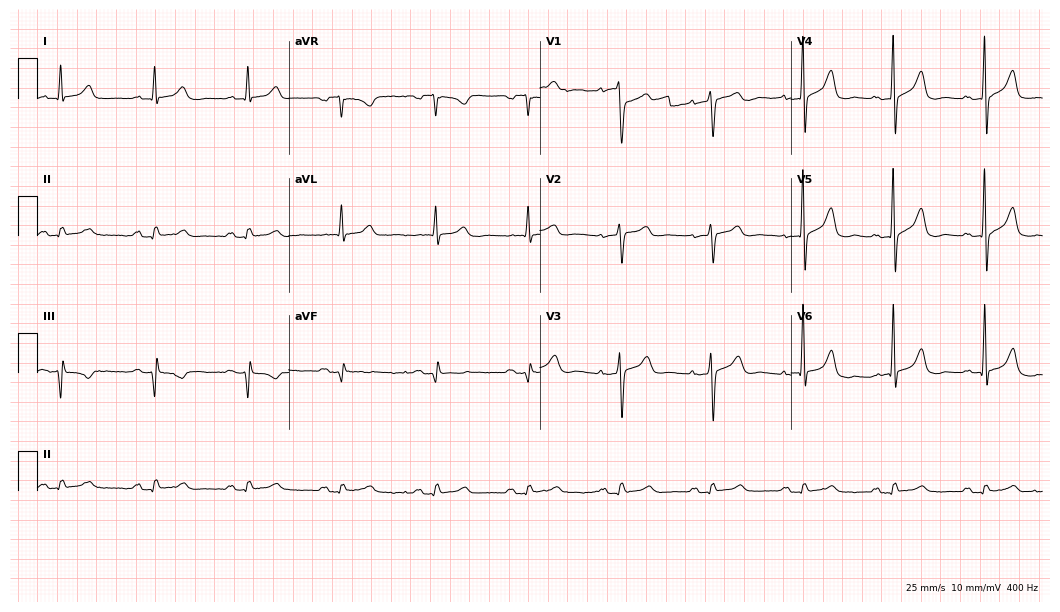
Electrocardiogram (10.2-second recording at 400 Hz), a 74-year-old male patient. Overall reading on record: normal ECG.